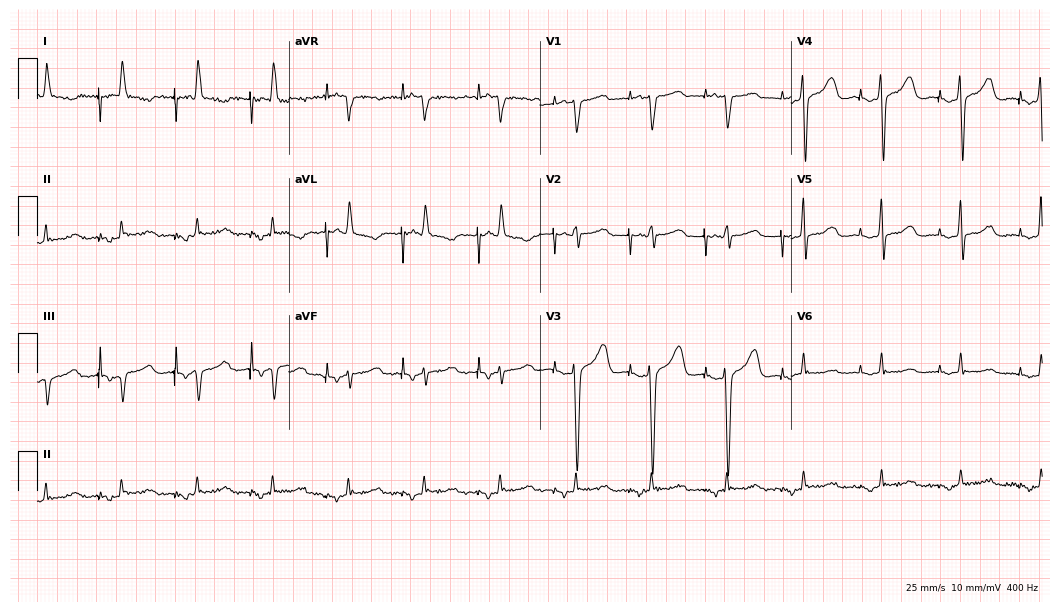
Resting 12-lead electrocardiogram (10.2-second recording at 400 Hz). Patient: a woman, 76 years old. None of these six findings is recorded: first-degree AV block, right bundle branch block, left bundle branch block, sinus bradycardia, atrial fibrillation, sinus tachycardia.